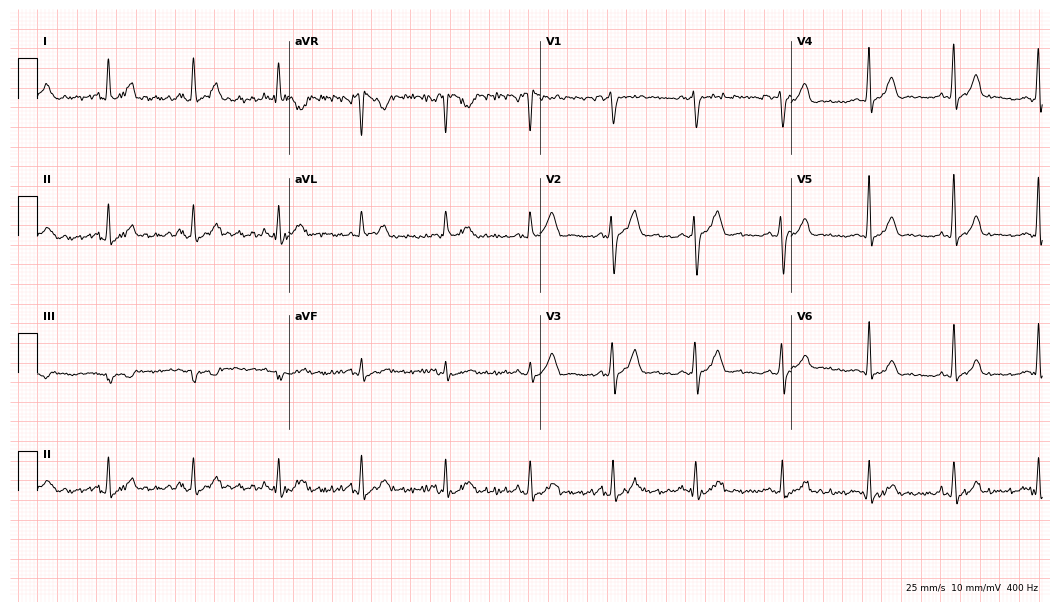
Resting 12-lead electrocardiogram. Patient: a 42-year-old male. Read as a normal ECG.